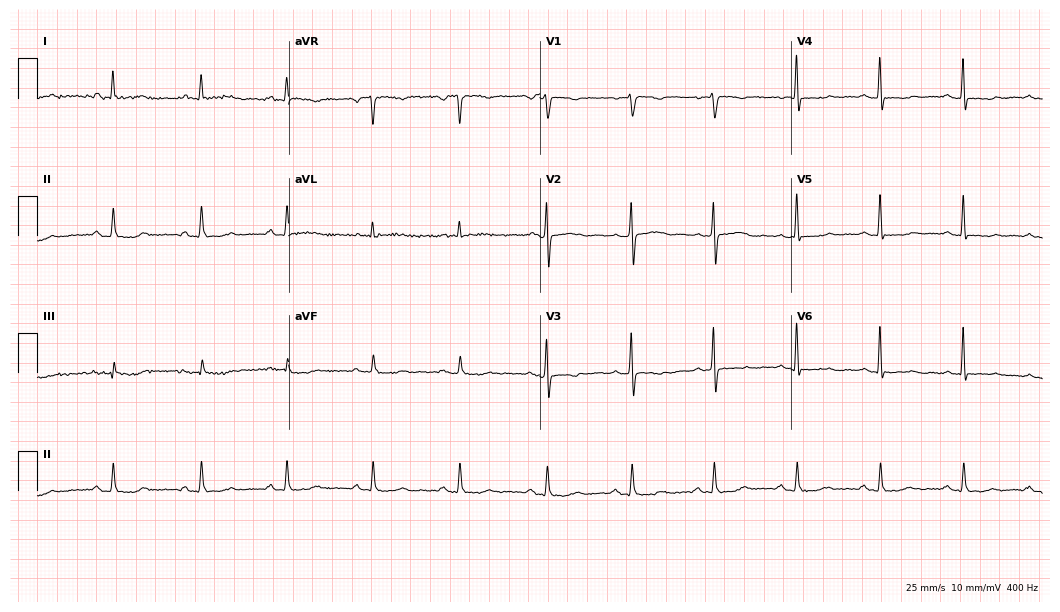
Electrocardiogram, a female patient, 52 years old. Of the six screened findings (first-degree AV block, right bundle branch block (RBBB), left bundle branch block (LBBB), sinus bradycardia, atrial fibrillation (AF), sinus tachycardia), none is recorded. Other findings, if any, are not listed.